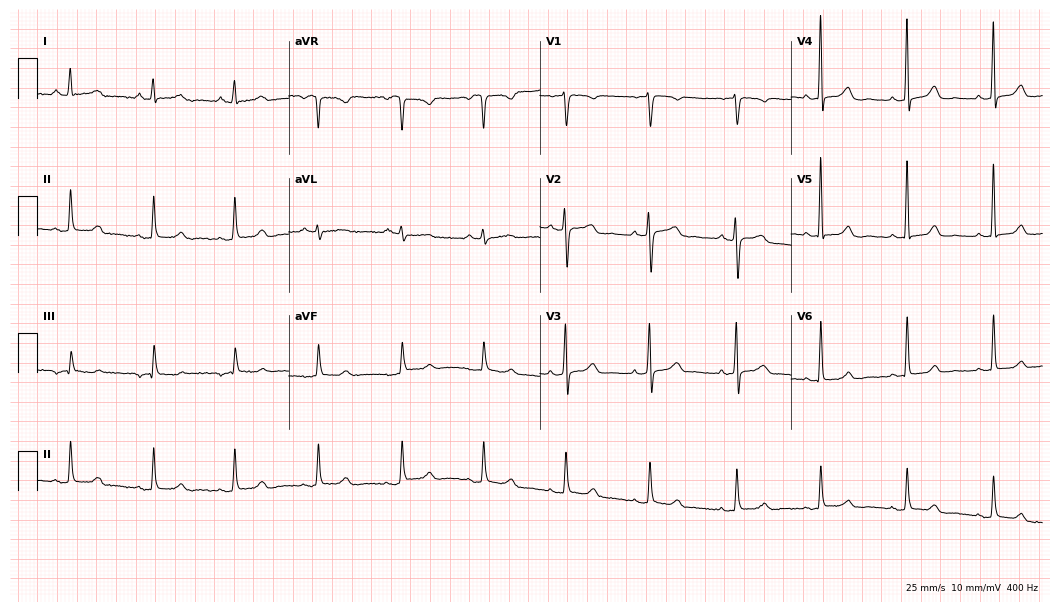
12-lead ECG from a woman, 51 years old (10.2-second recording at 400 Hz). Recorded interpretation: within normal limits.